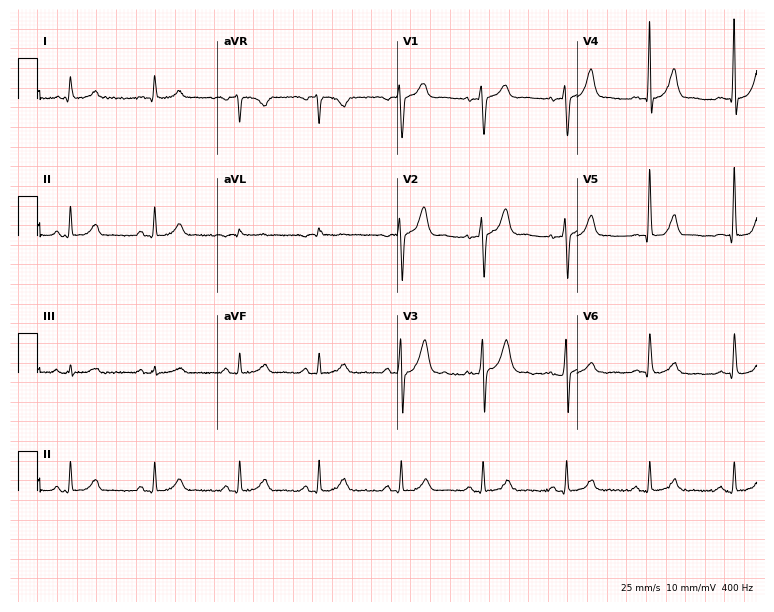
Electrocardiogram, a male patient, 59 years old. Of the six screened findings (first-degree AV block, right bundle branch block, left bundle branch block, sinus bradycardia, atrial fibrillation, sinus tachycardia), none is recorded. Only these six findings were labelled.